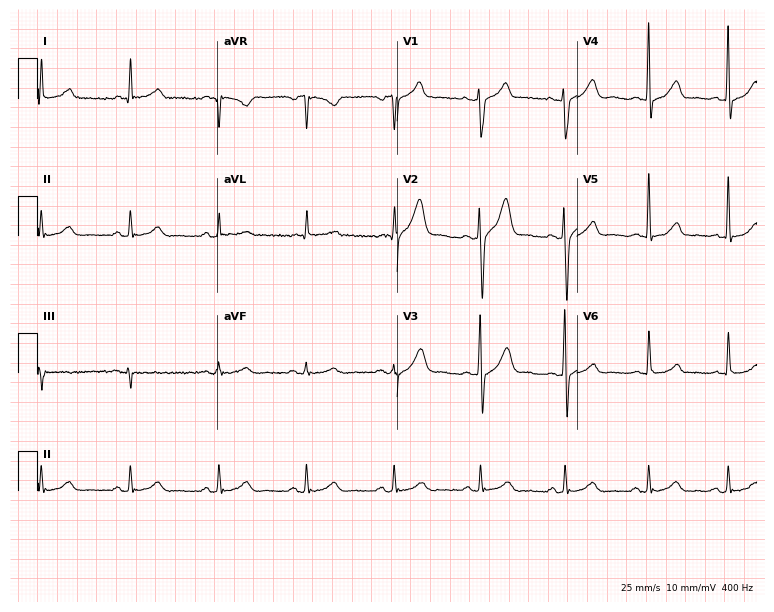
12-lead ECG from a 48-year-old man. Screened for six findings — first-degree AV block, right bundle branch block (RBBB), left bundle branch block (LBBB), sinus bradycardia, atrial fibrillation (AF), sinus tachycardia — none is recorded. Other findings, if any, are not listed.